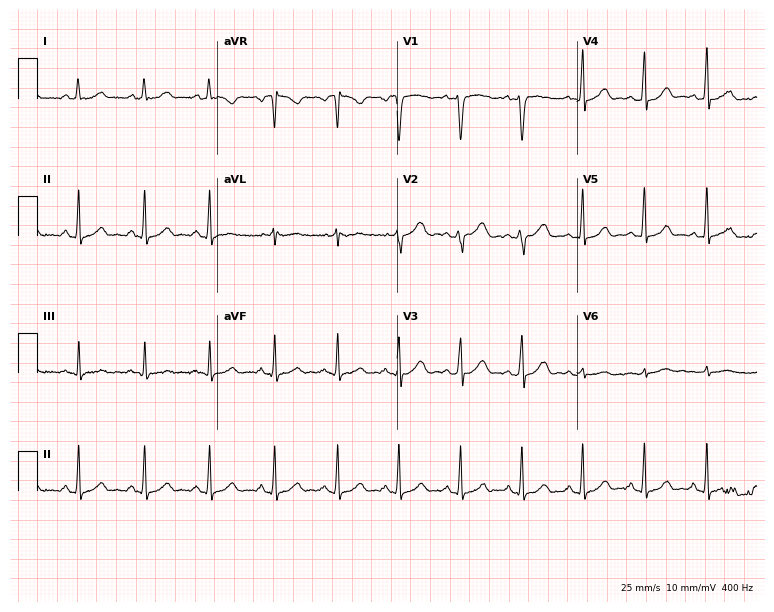
Resting 12-lead electrocardiogram. Patient: a 27-year-old female. Read as a normal ECG.